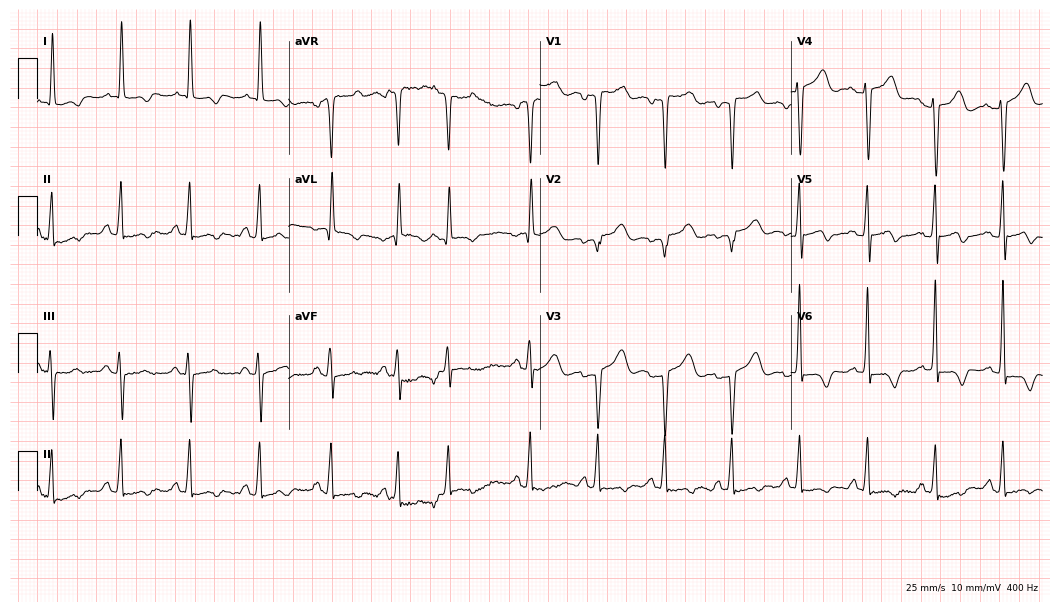
Resting 12-lead electrocardiogram. Patient: a 64-year-old woman. None of these six findings is recorded: first-degree AV block, right bundle branch block (RBBB), left bundle branch block (LBBB), sinus bradycardia, atrial fibrillation (AF), sinus tachycardia. Only these six findings were labelled.